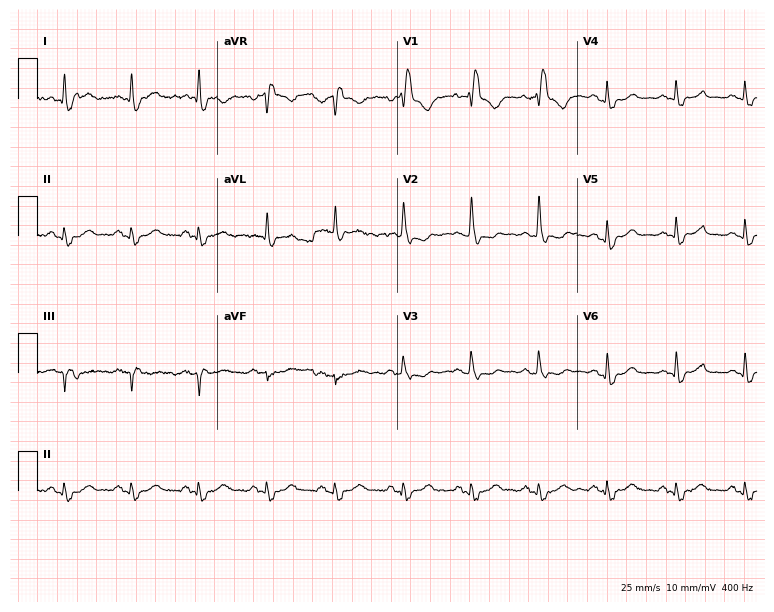
Electrocardiogram (7.3-second recording at 400 Hz), a 77-year-old male. Interpretation includes right bundle branch block.